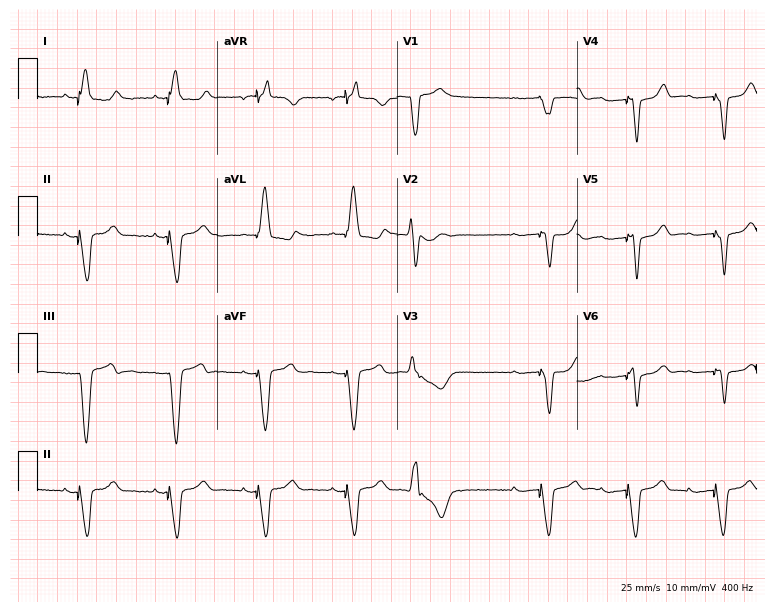
12-lead ECG from an 81-year-old male. Screened for six findings — first-degree AV block, right bundle branch block, left bundle branch block, sinus bradycardia, atrial fibrillation, sinus tachycardia — none is recorded.